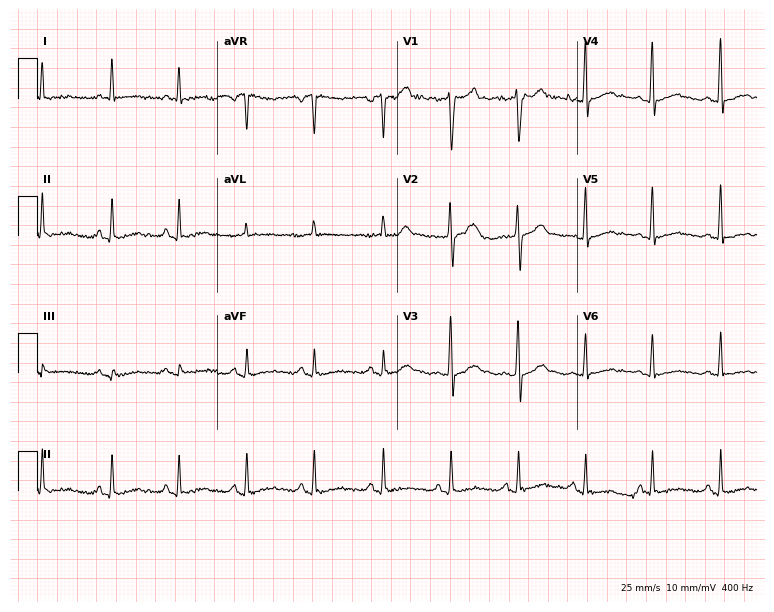
ECG — a male, 42 years old. Screened for six findings — first-degree AV block, right bundle branch block (RBBB), left bundle branch block (LBBB), sinus bradycardia, atrial fibrillation (AF), sinus tachycardia — none is recorded. Other findings, if any, are not listed.